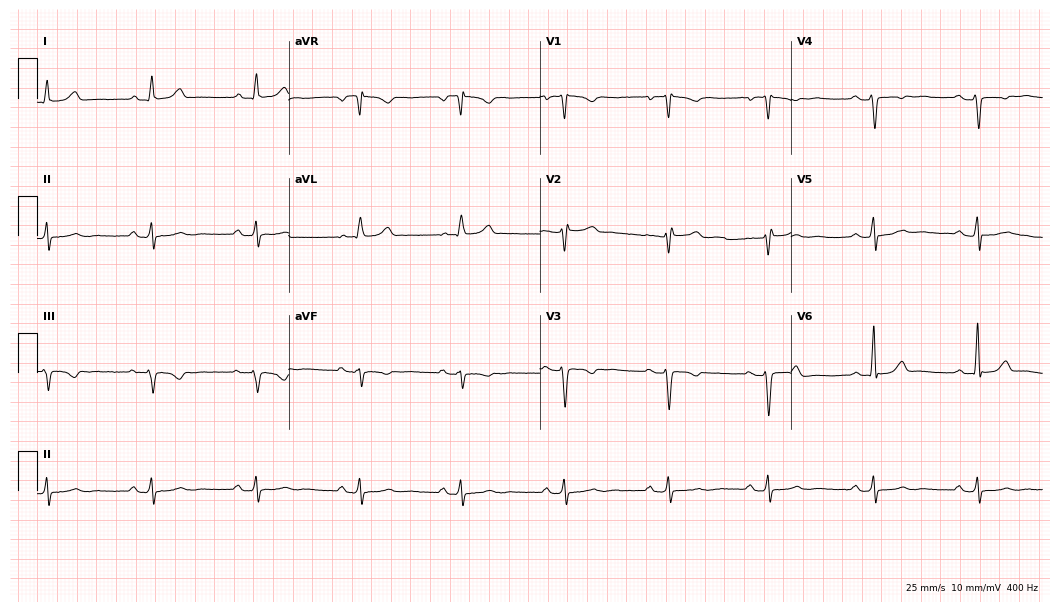
12-lead ECG from a woman, 47 years old. Screened for six findings — first-degree AV block, right bundle branch block (RBBB), left bundle branch block (LBBB), sinus bradycardia, atrial fibrillation (AF), sinus tachycardia — none is recorded.